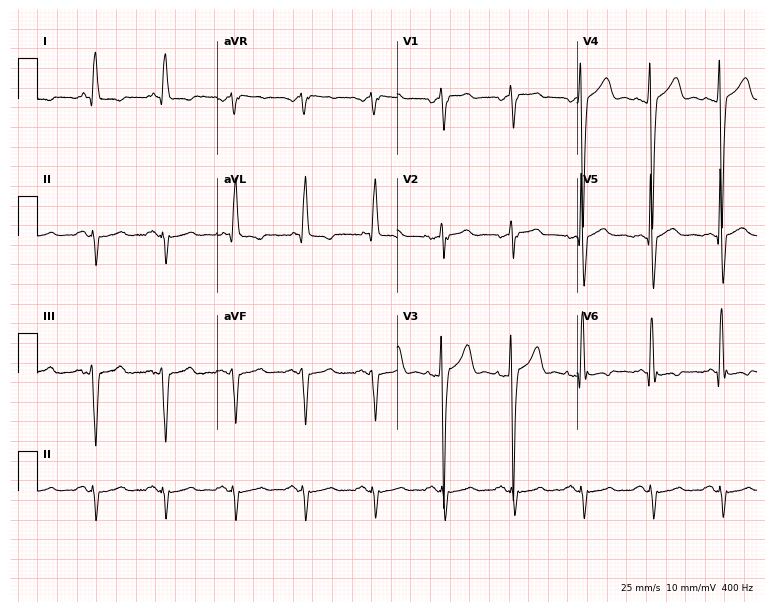
Electrocardiogram (7.3-second recording at 400 Hz), a man, 74 years old. Of the six screened findings (first-degree AV block, right bundle branch block, left bundle branch block, sinus bradycardia, atrial fibrillation, sinus tachycardia), none is recorded.